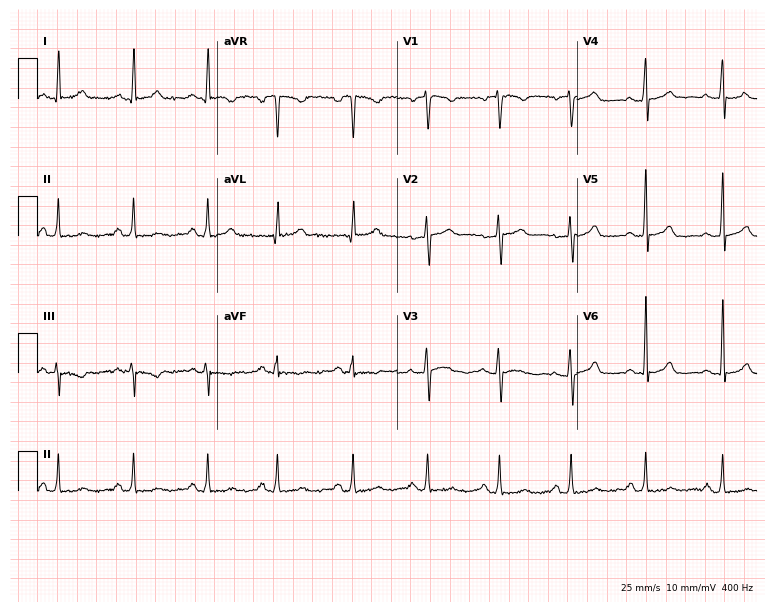
ECG (7.3-second recording at 400 Hz) — a female, 42 years old. Screened for six findings — first-degree AV block, right bundle branch block, left bundle branch block, sinus bradycardia, atrial fibrillation, sinus tachycardia — none is recorded.